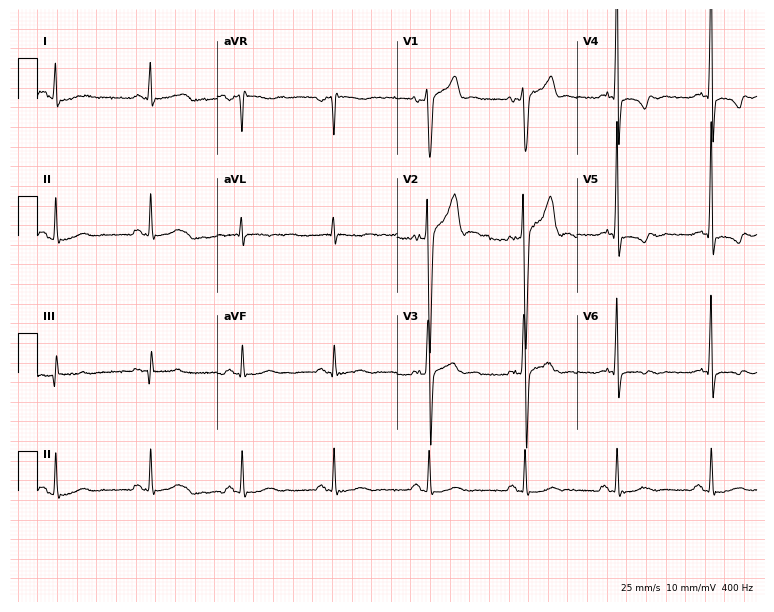
Electrocardiogram, a male, 34 years old. Of the six screened findings (first-degree AV block, right bundle branch block, left bundle branch block, sinus bradycardia, atrial fibrillation, sinus tachycardia), none is recorded. Findings outside these six are not listed.